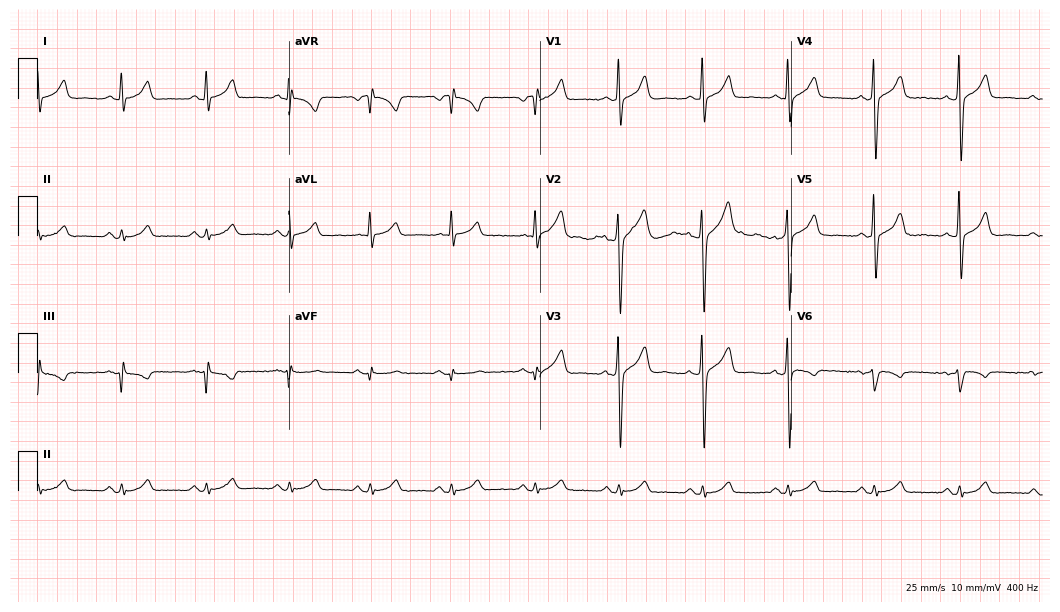
ECG (10.2-second recording at 400 Hz) — a man, 36 years old. Screened for six findings — first-degree AV block, right bundle branch block, left bundle branch block, sinus bradycardia, atrial fibrillation, sinus tachycardia — none is recorded. Only these six findings were labelled.